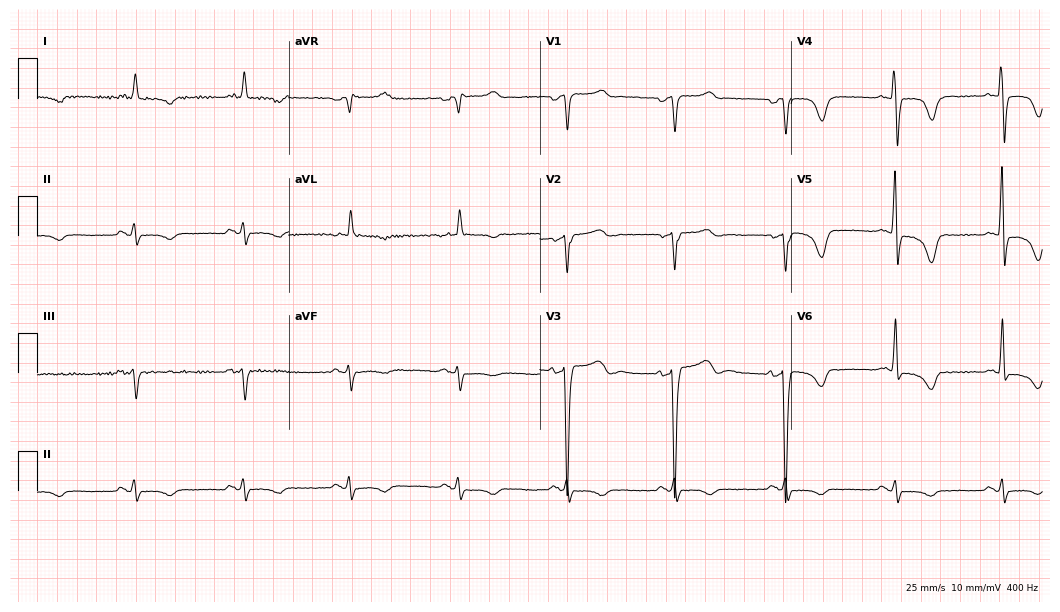
12-lead ECG from a 72-year-old male. No first-degree AV block, right bundle branch block, left bundle branch block, sinus bradycardia, atrial fibrillation or sinus tachycardia recorded for this tracing.